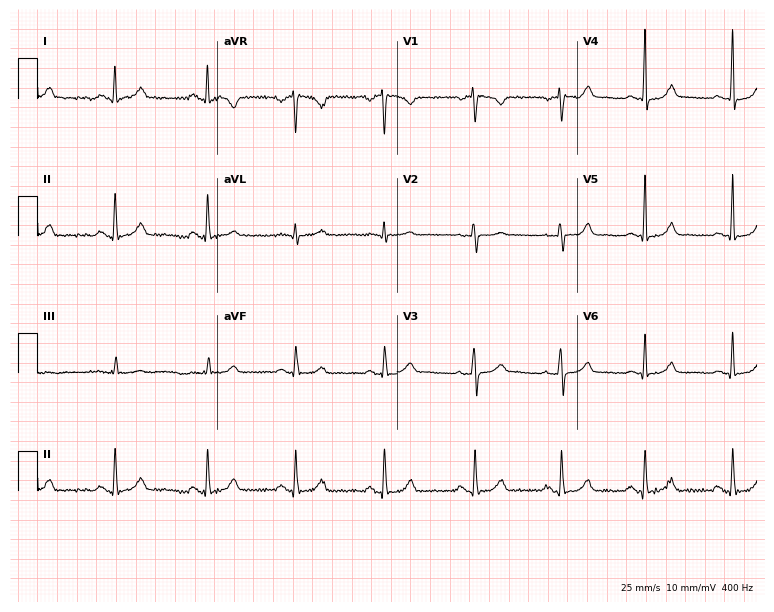
12-lead ECG from a female, 39 years old. Labelled as a normal ECG.